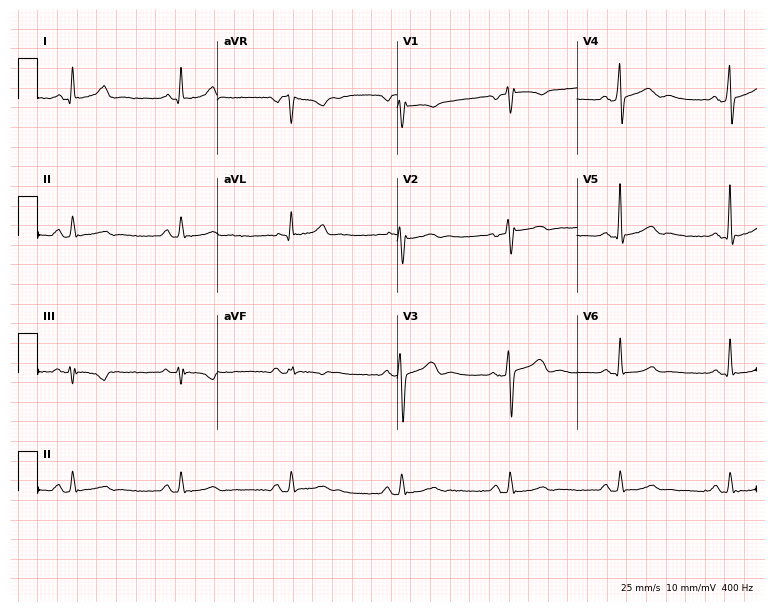
Standard 12-lead ECG recorded from a male, 50 years old (7.3-second recording at 400 Hz). None of these six findings is recorded: first-degree AV block, right bundle branch block (RBBB), left bundle branch block (LBBB), sinus bradycardia, atrial fibrillation (AF), sinus tachycardia.